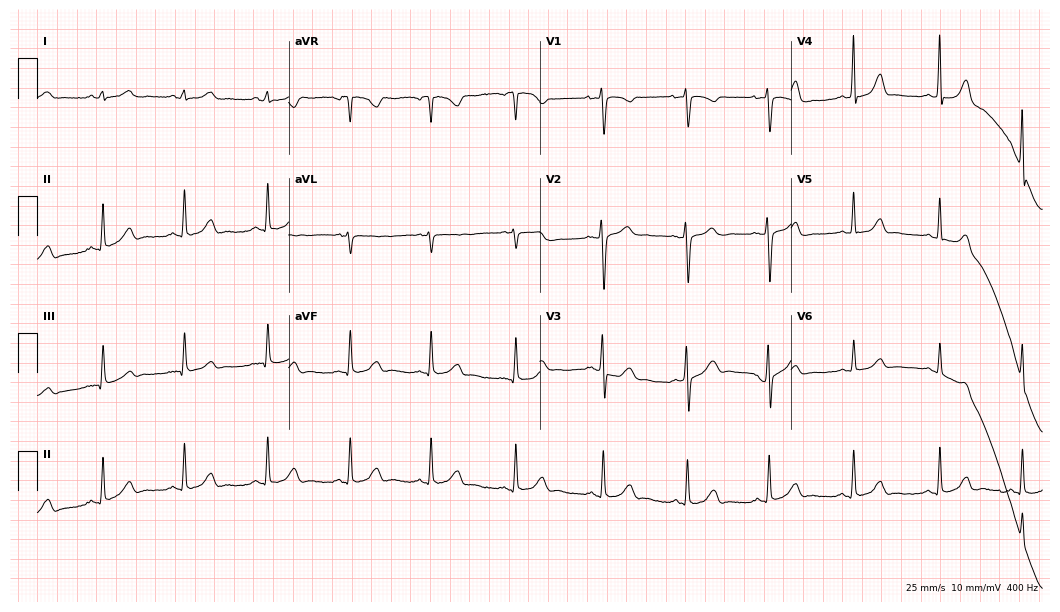
12-lead ECG (10.2-second recording at 400 Hz) from a 25-year-old female patient. Labelled as a normal ECG.